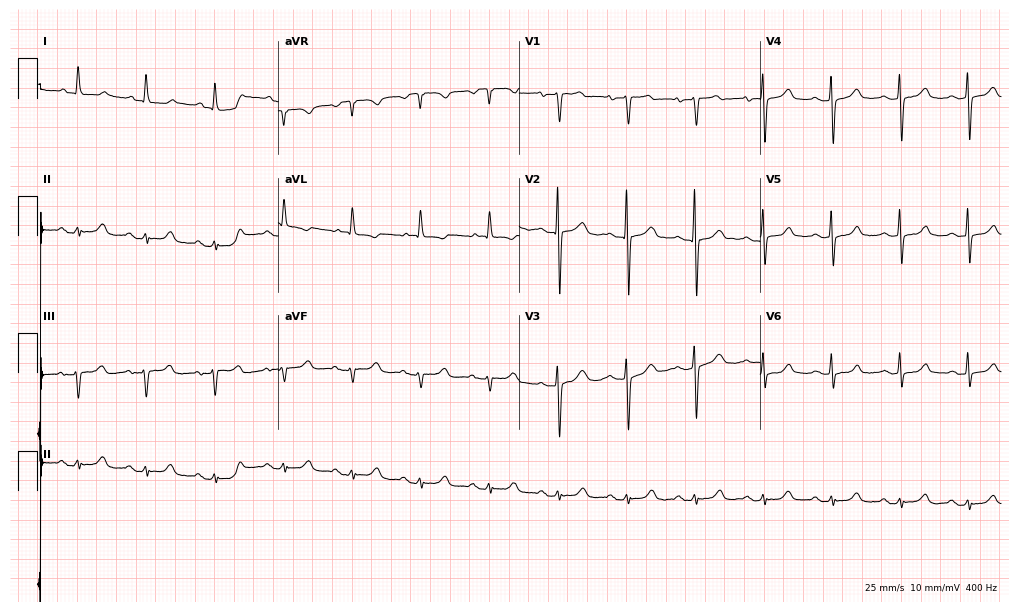
ECG (9.8-second recording at 400 Hz) — a female patient, 76 years old. Screened for six findings — first-degree AV block, right bundle branch block (RBBB), left bundle branch block (LBBB), sinus bradycardia, atrial fibrillation (AF), sinus tachycardia — none is recorded.